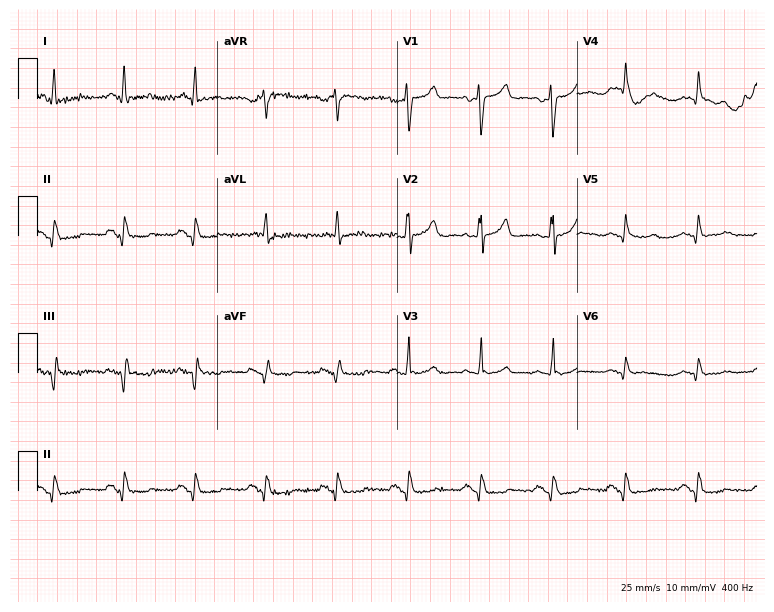
Resting 12-lead electrocardiogram. Patient: a man, 67 years old. Read as a normal ECG.